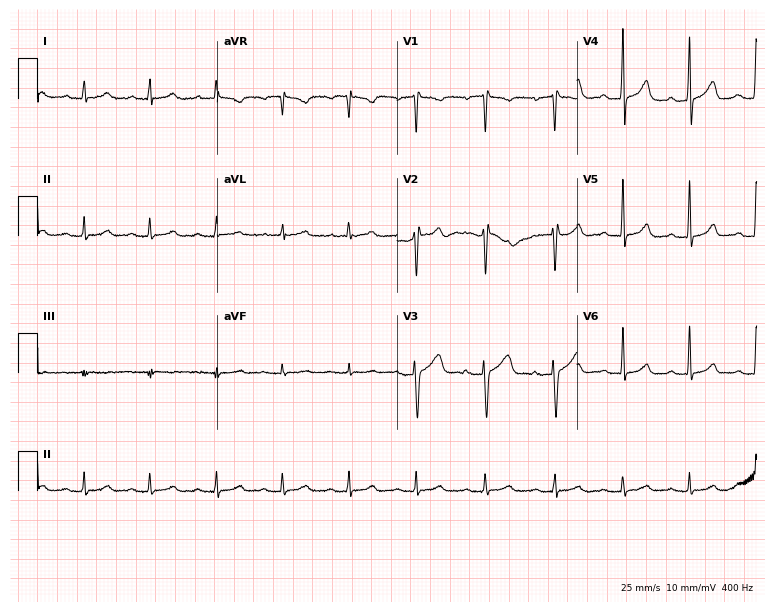
12-lead ECG from a 41-year-old female patient. Screened for six findings — first-degree AV block, right bundle branch block, left bundle branch block, sinus bradycardia, atrial fibrillation, sinus tachycardia — none is recorded.